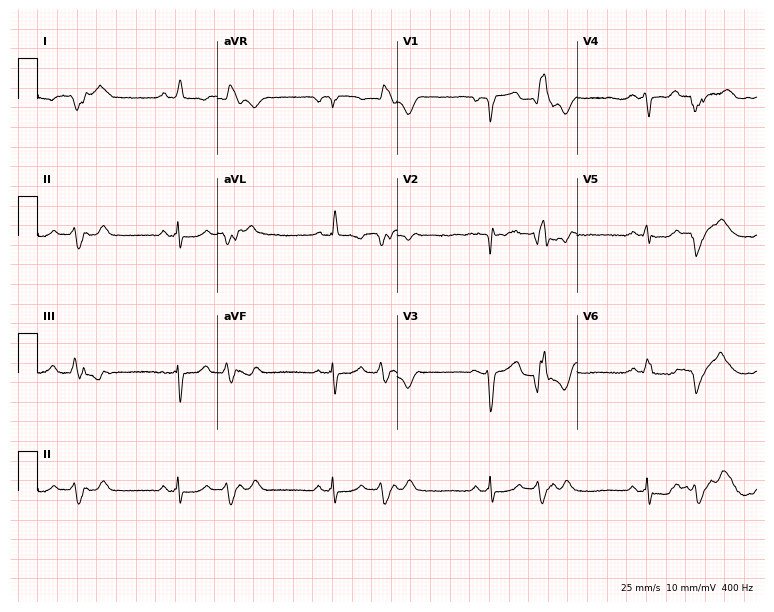
ECG (7.3-second recording at 400 Hz) — a 67-year-old male. Screened for six findings — first-degree AV block, right bundle branch block, left bundle branch block, sinus bradycardia, atrial fibrillation, sinus tachycardia — none is recorded.